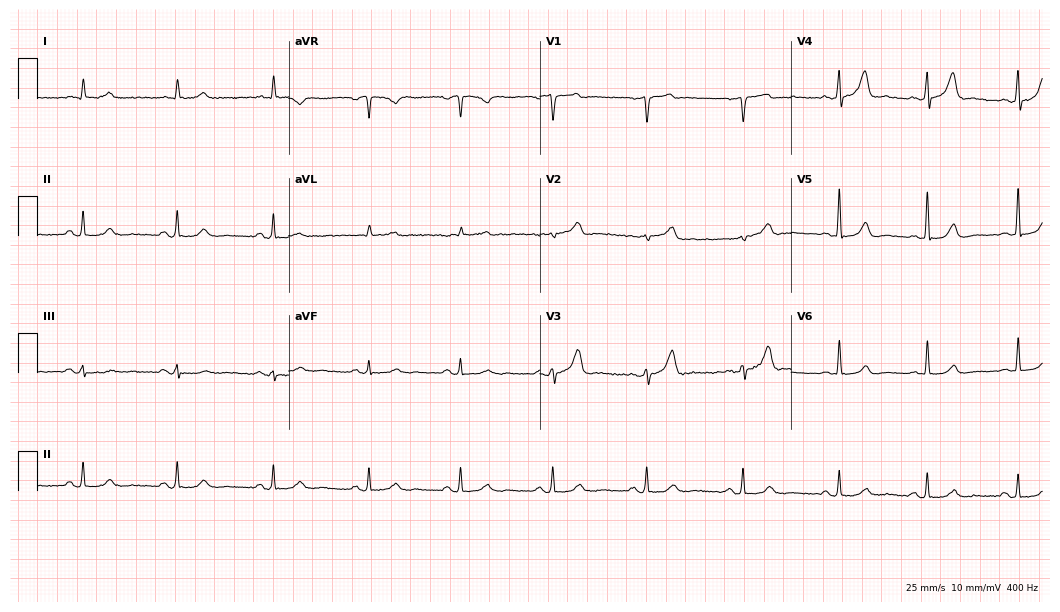
Resting 12-lead electrocardiogram. Patient: a 55-year-old male. Read as a normal ECG.